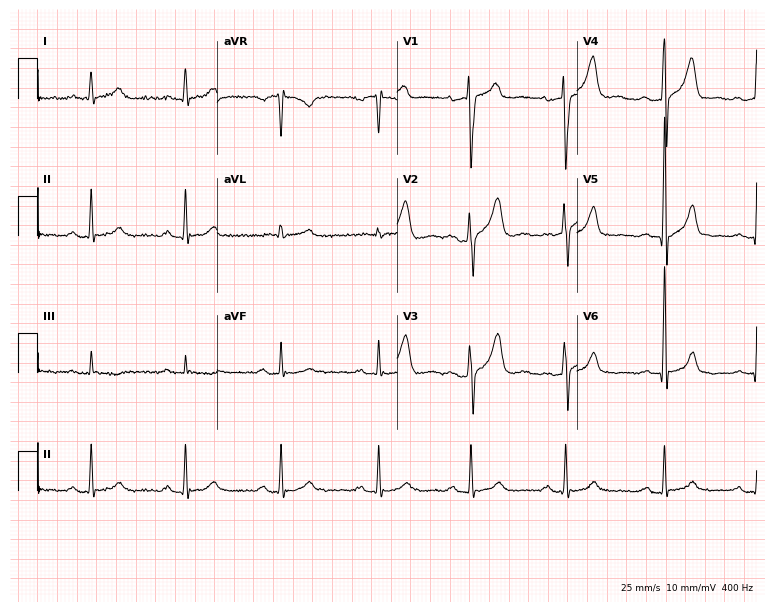
Resting 12-lead electrocardiogram. Patient: a male, 55 years old. None of these six findings is recorded: first-degree AV block, right bundle branch block, left bundle branch block, sinus bradycardia, atrial fibrillation, sinus tachycardia. Findings outside these six are not listed.